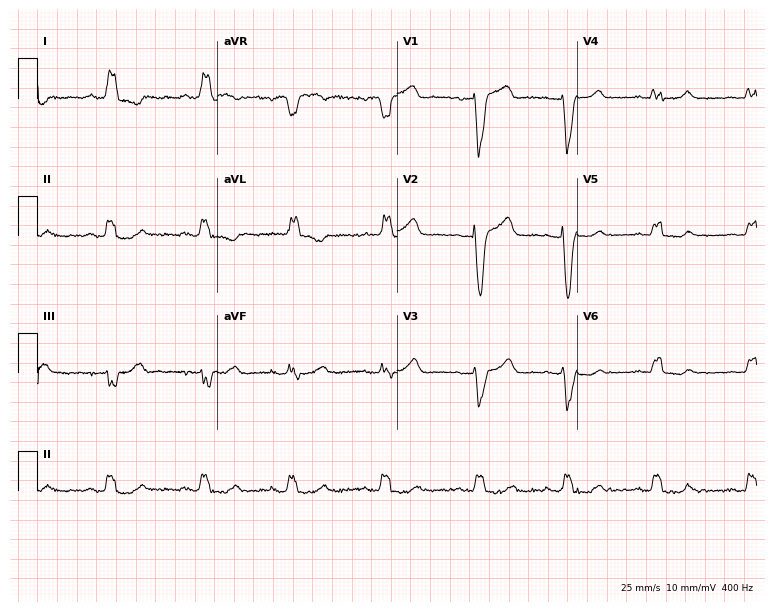
Resting 12-lead electrocardiogram (7.3-second recording at 400 Hz). Patient: a 77-year-old woman. The tracing shows left bundle branch block.